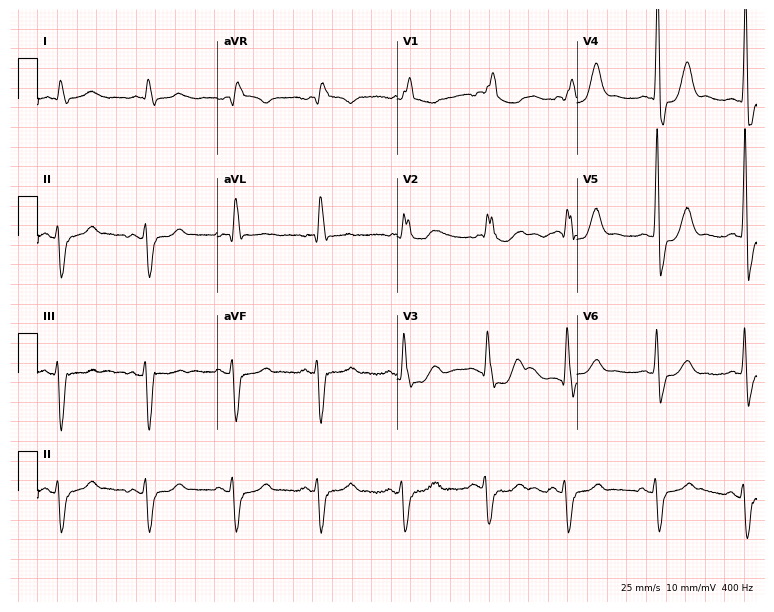
12-lead ECG from a 79-year-old man. Shows right bundle branch block (RBBB).